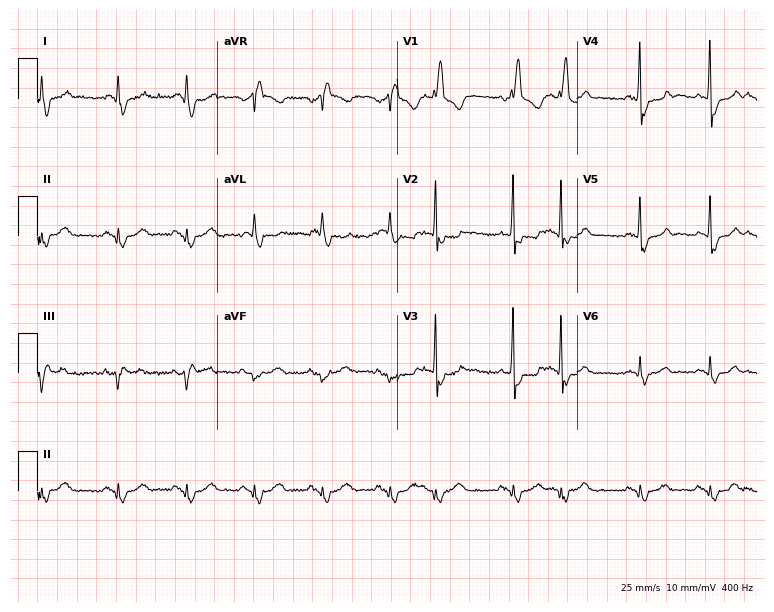
Standard 12-lead ECG recorded from a man, 76 years old (7.3-second recording at 400 Hz). The tracing shows right bundle branch block.